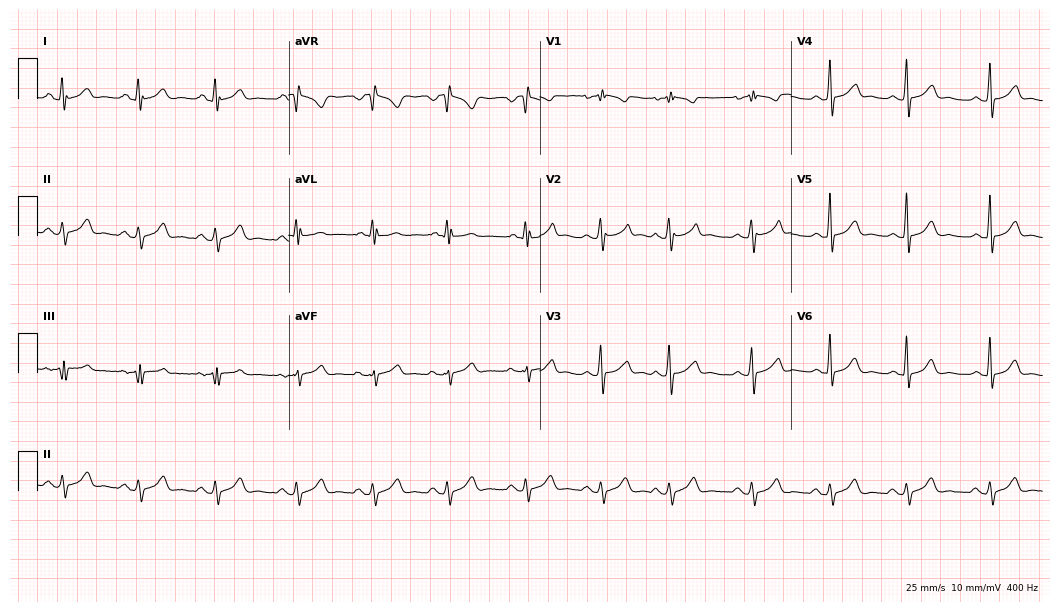
12-lead ECG from a female, 21 years old. Screened for six findings — first-degree AV block, right bundle branch block, left bundle branch block, sinus bradycardia, atrial fibrillation, sinus tachycardia — none is recorded.